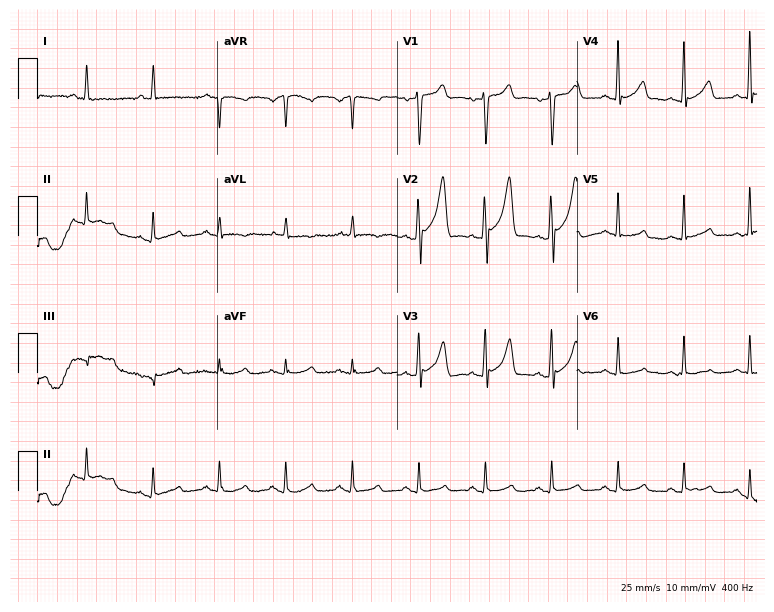
ECG — a 65-year-old man. Screened for six findings — first-degree AV block, right bundle branch block (RBBB), left bundle branch block (LBBB), sinus bradycardia, atrial fibrillation (AF), sinus tachycardia — none is recorded.